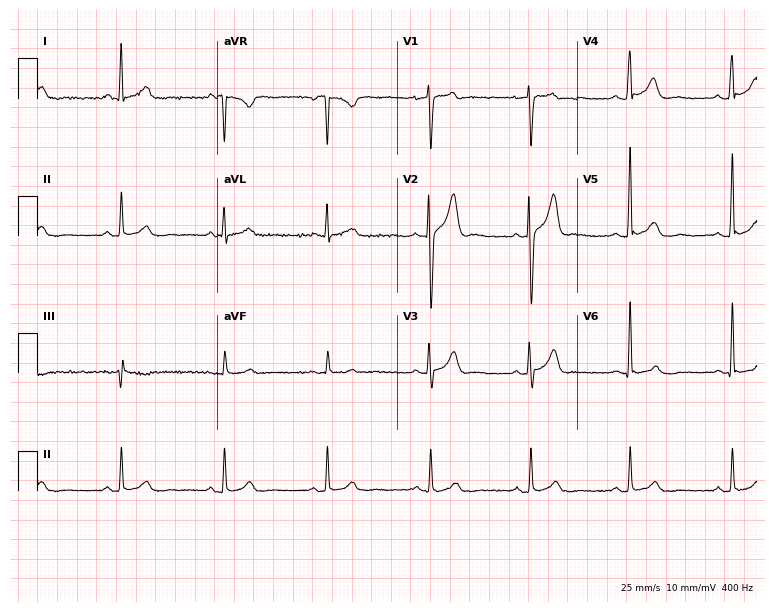
Resting 12-lead electrocardiogram (7.3-second recording at 400 Hz). Patient: a man, 37 years old. Read as a normal ECG.